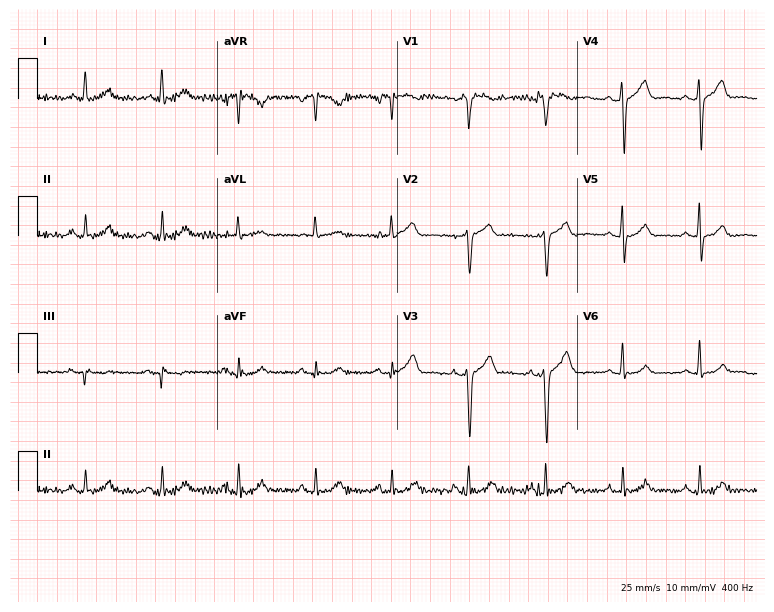
Electrocardiogram, a 61-year-old man. Of the six screened findings (first-degree AV block, right bundle branch block (RBBB), left bundle branch block (LBBB), sinus bradycardia, atrial fibrillation (AF), sinus tachycardia), none is recorded. Other findings, if any, are not listed.